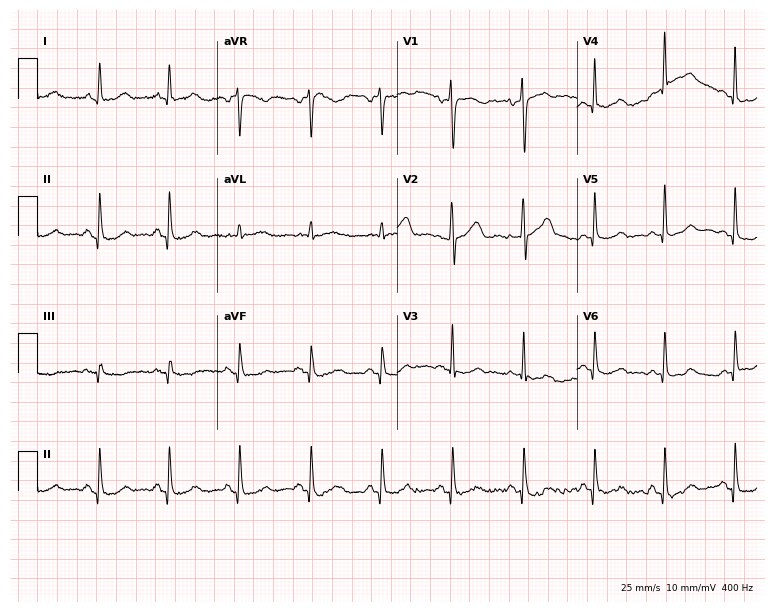
Standard 12-lead ECG recorded from a 45-year-old female (7.3-second recording at 400 Hz). None of these six findings is recorded: first-degree AV block, right bundle branch block, left bundle branch block, sinus bradycardia, atrial fibrillation, sinus tachycardia. Only these six findings were labelled.